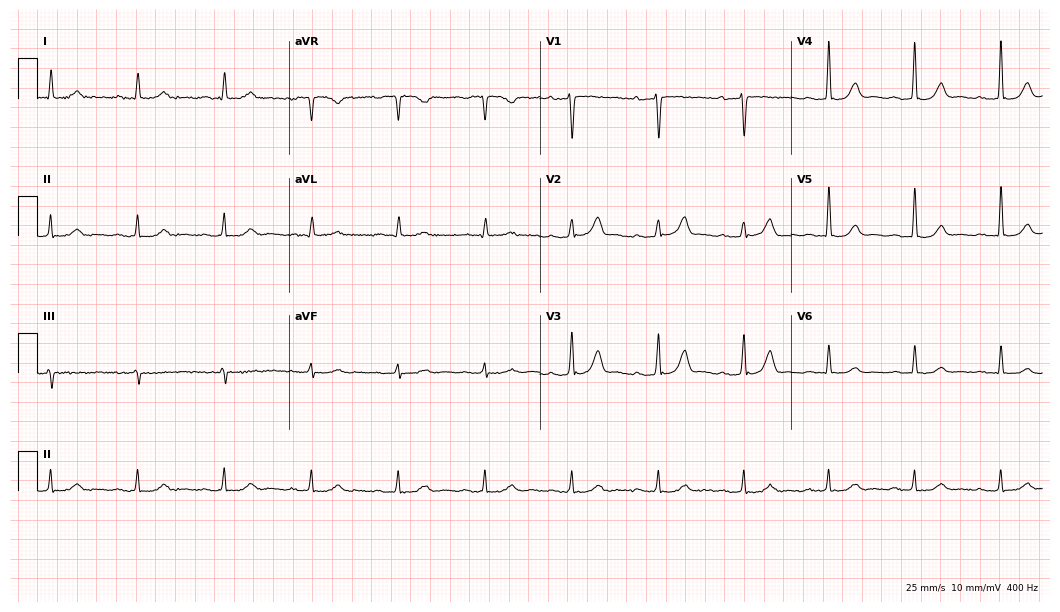
ECG (10.2-second recording at 400 Hz) — an 80-year-old male. Screened for six findings — first-degree AV block, right bundle branch block, left bundle branch block, sinus bradycardia, atrial fibrillation, sinus tachycardia — none is recorded.